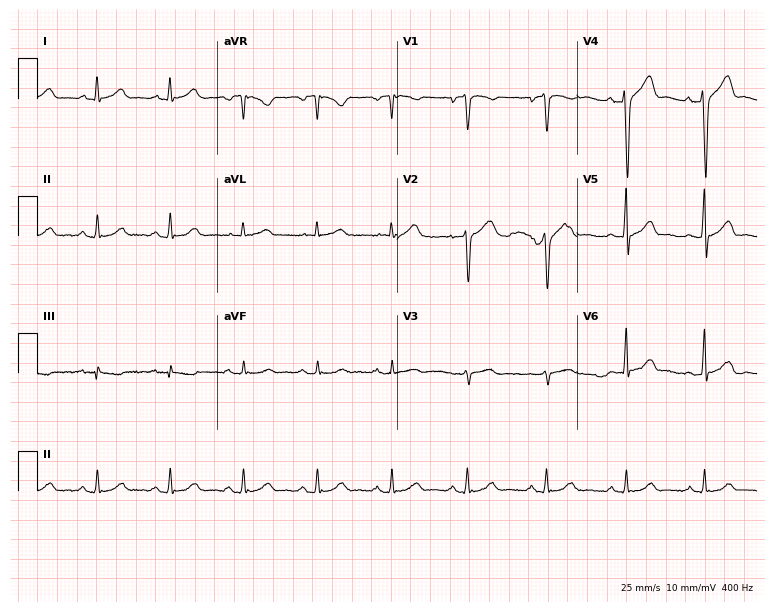
Standard 12-lead ECG recorded from a male patient, 57 years old. Read as a normal ECG.